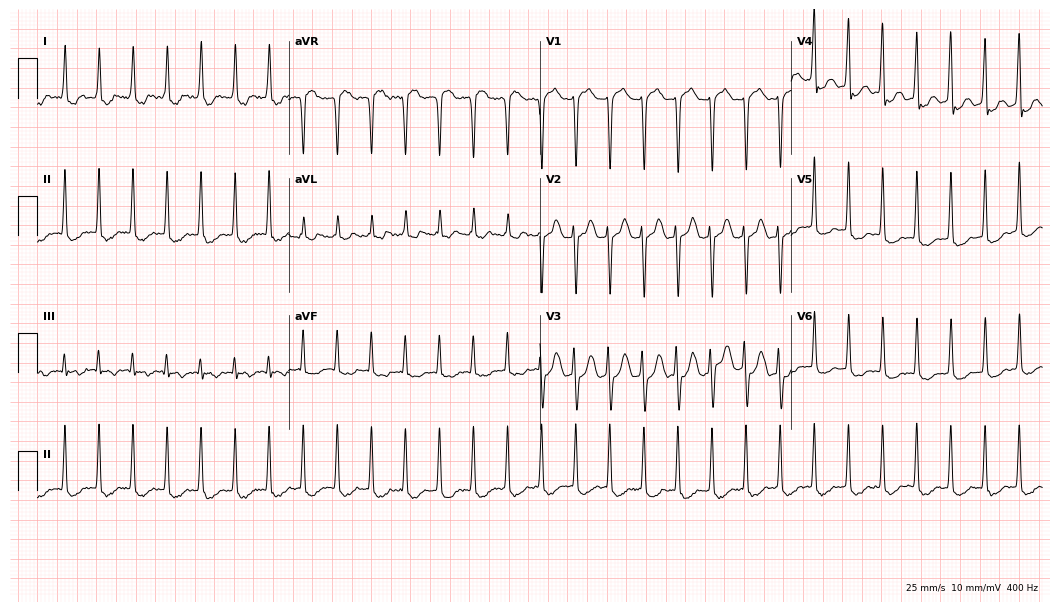
12-lead ECG (10.2-second recording at 400 Hz) from a 44-year-old man. Screened for six findings — first-degree AV block, right bundle branch block, left bundle branch block, sinus bradycardia, atrial fibrillation, sinus tachycardia — none is recorded. Findings outside these six are not listed.